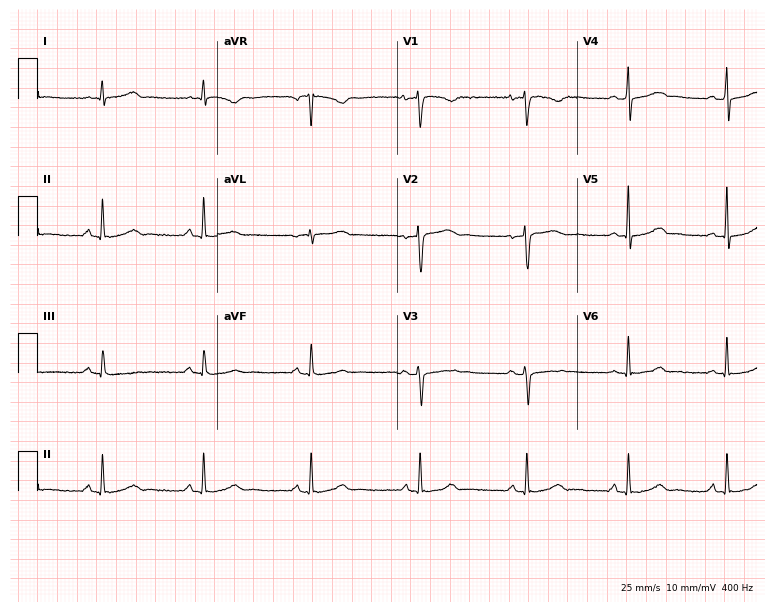
12-lead ECG (7.3-second recording at 400 Hz) from a female, 43 years old. Labelled as a normal ECG.